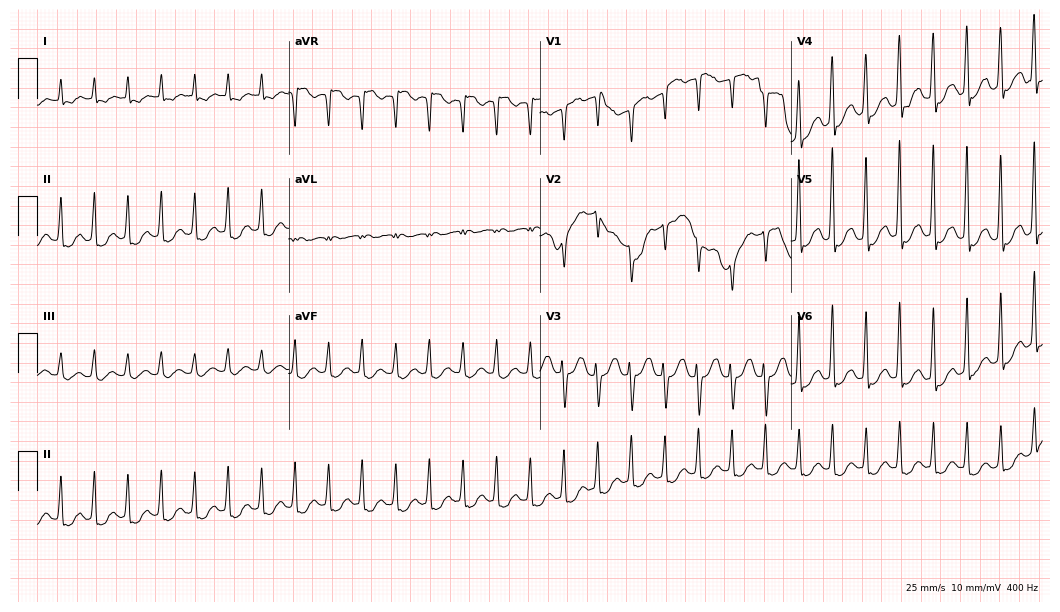
ECG (10.2-second recording at 400 Hz) — a female, 48 years old. Screened for six findings — first-degree AV block, right bundle branch block (RBBB), left bundle branch block (LBBB), sinus bradycardia, atrial fibrillation (AF), sinus tachycardia — none is recorded. Only these six findings were labelled.